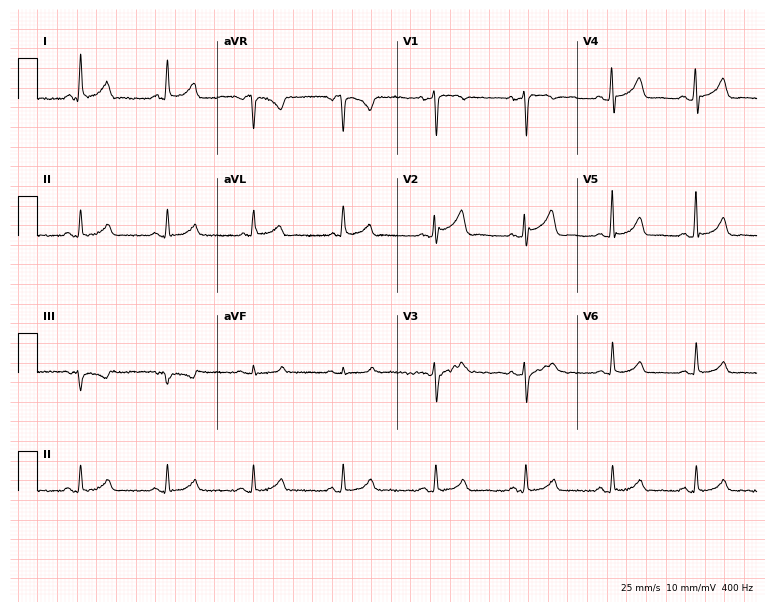
12-lead ECG (7.3-second recording at 400 Hz) from a woman, 55 years old. Screened for six findings — first-degree AV block, right bundle branch block, left bundle branch block, sinus bradycardia, atrial fibrillation, sinus tachycardia — none is recorded.